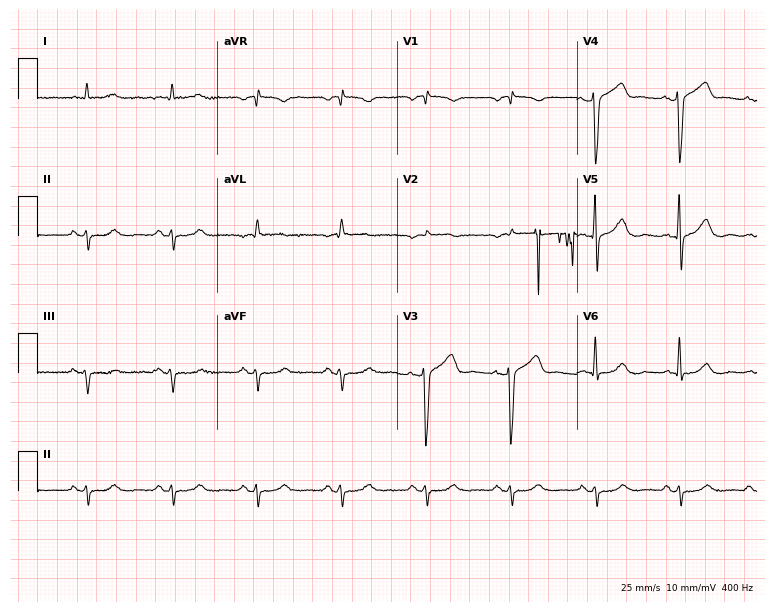
12-lead ECG from a man, 73 years old. Labelled as a normal ECG.